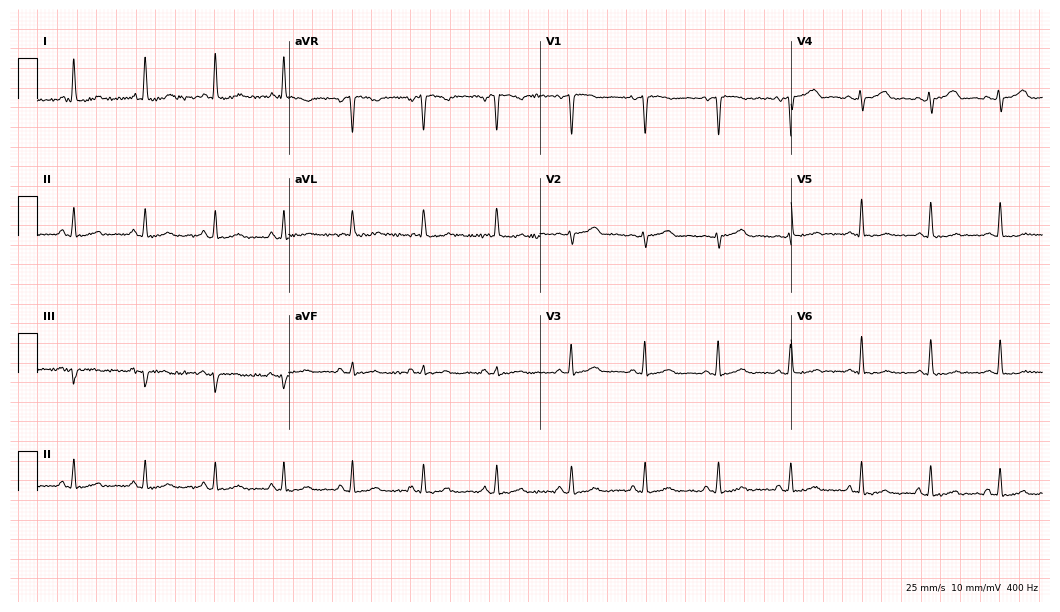
Standard 12-lead ECG recorded from a 49-year-old female patient. None of these six findings is recorded: first-degree AV block, right bundle branch block, left bundle branch block, sinus bradycardia, atrial fibrillation, sinus tachycardia.